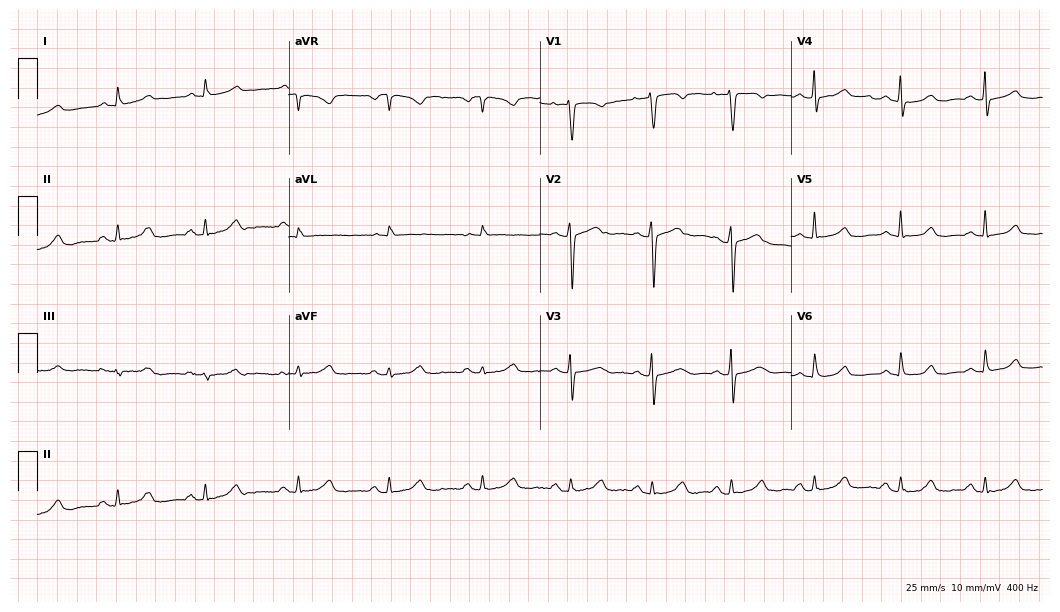
12-lead ECG from a 42-year-old female patient. Labelled as a normal ECG.